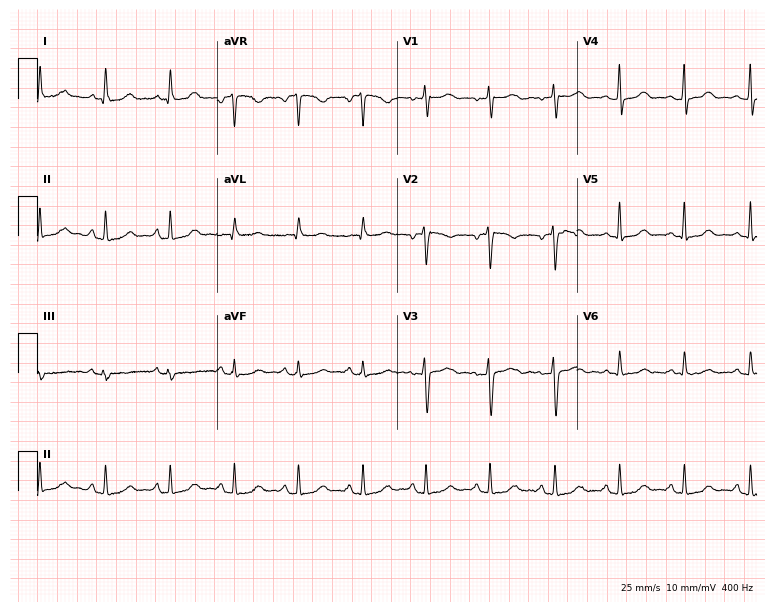
ECG (7.3-second recording at 400 Hz) — a woman, 42 years old. Labelled as a normal ECG.